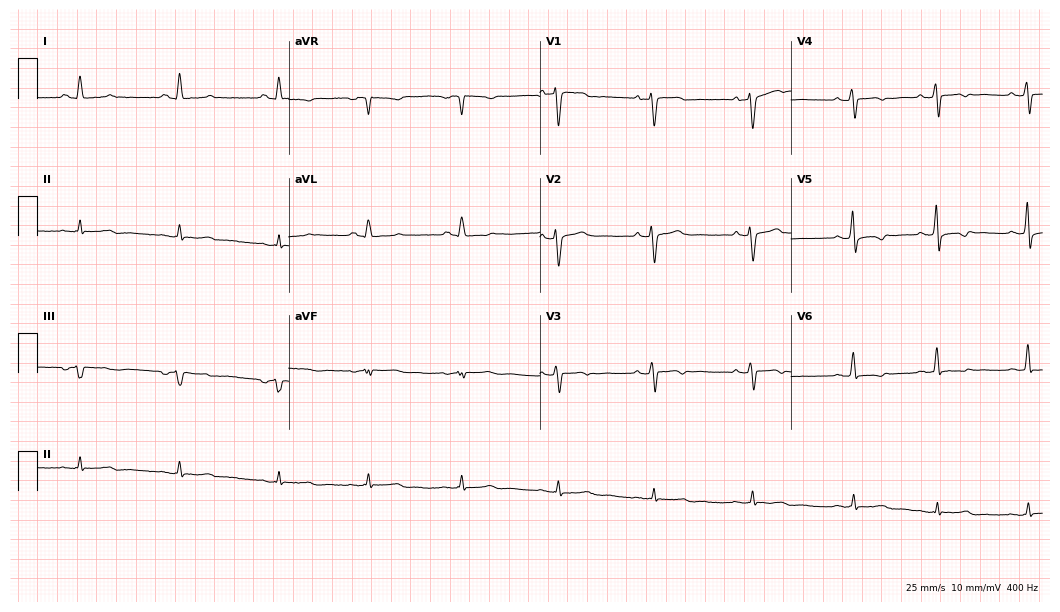
Electrocardiogram (10.2-second recording at 400 Hz), a 60-year-old female patient. Of the six screened findings (first-degree AV block, right bundle branch block, left bundle branch block, sinus bradycardia, atrial fibrillation, sinus tachycardia), none is recorded.